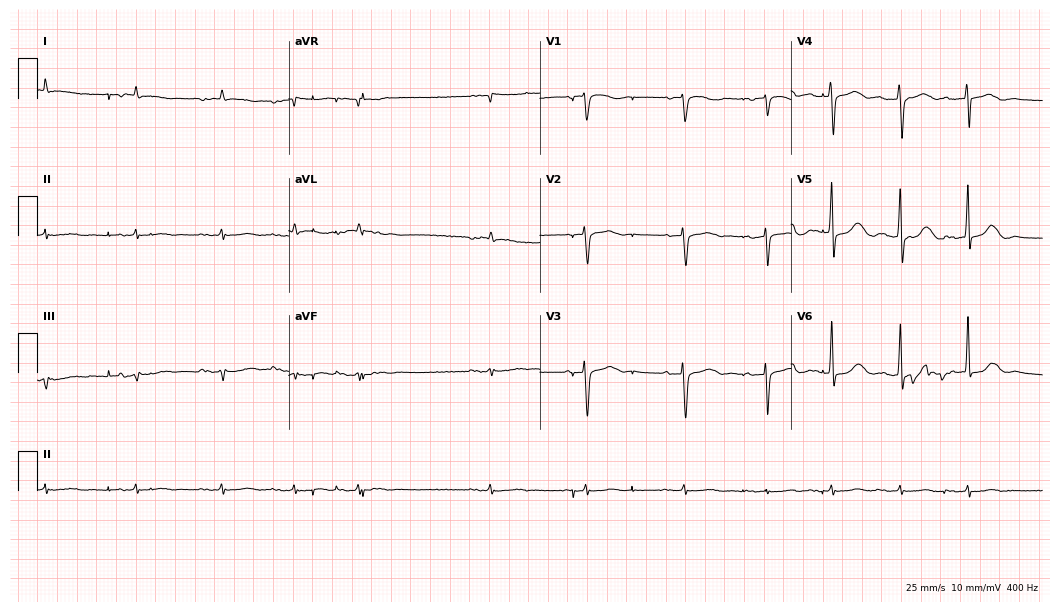
ECG (10.2-second recording at 400 Hz) — a male, 79 years old. Screened for six findings — first-degree AV block, right bundle branch block, left bundle branch block, sinus bradycardia, atrial fibrillation, sinus tachycardia — none is recorded.